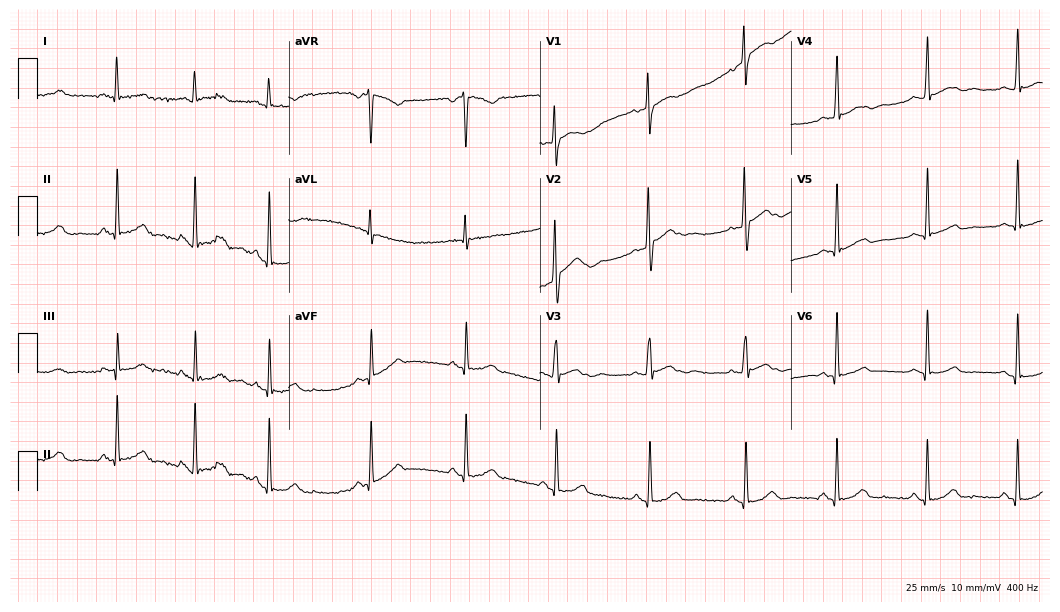
12-lead ECG (10.2-second recording at 400 Hz) from a 30-year-old female. Labelled as a normal ECG.